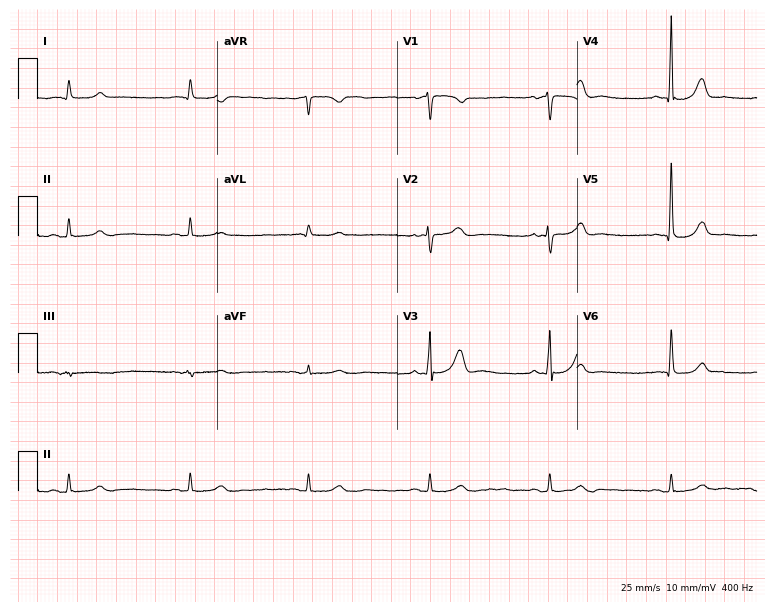
Standard 12-lead ECG recorded from an 85-year-old male patient. None of these six findings is recorded: first-degree AV block, right bundle branch block, left bundle branch block, sinus bradycardia, atrial fibrillation, sinus tachycardia.